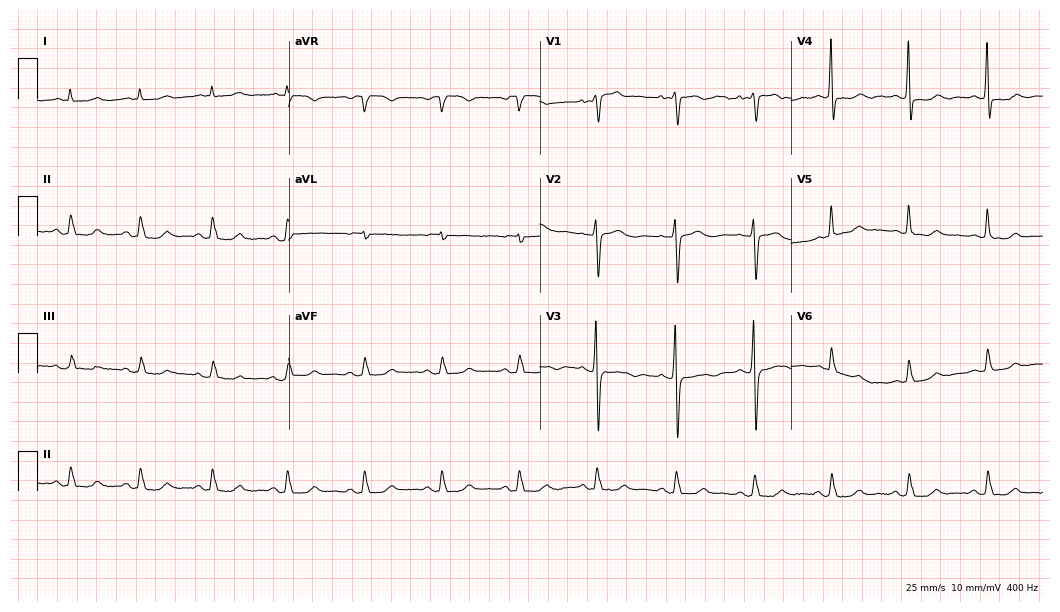
12-lead ECG from a woman, 69 years old. Recorded interpretation: within normal limits.